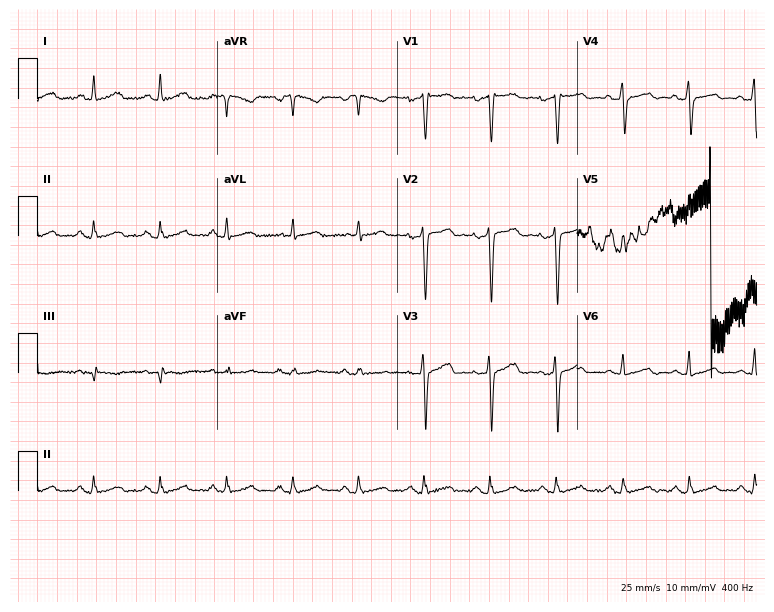
Standard 12-lead ECG recorded from a 45-year-old female patient (7.3-second recording at 400 Hz). None of these six findings is recorded: first-degree AV block, right bundle branch block, left bundle branch block, sinus bradycardia, atrial fibrillation, sinus tachycardia.